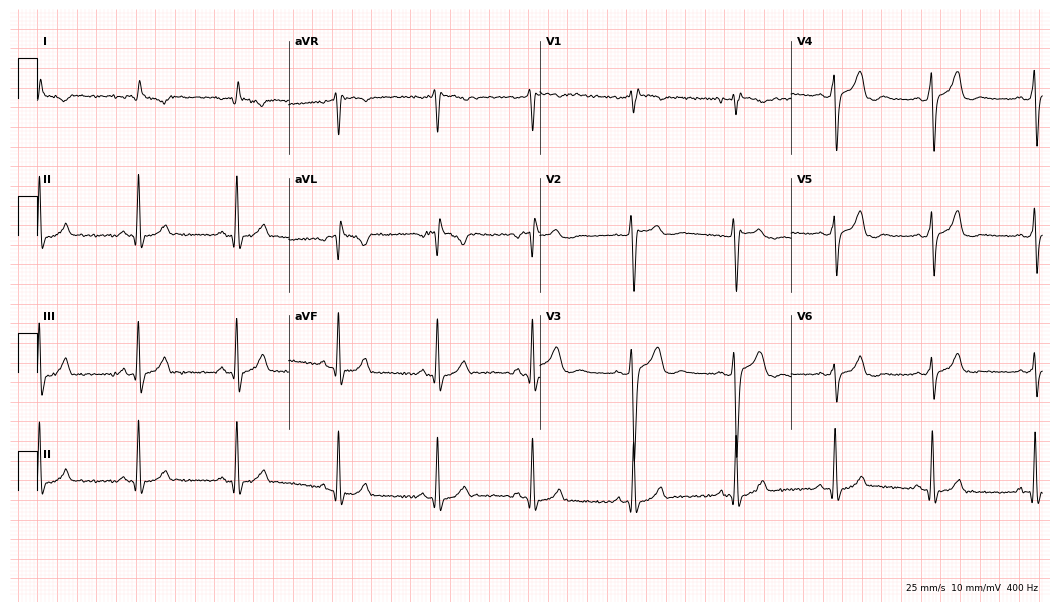
Resting 12-lead electrocardiogram (10.2-second recording at 400 Hz). Patient: a male, 19 years old. None of these six findings is recorded: first-degree AV block, right bundle branch block, left bundle branch block, sinus bradycardia, atrial fibrillation, sinus tachycardia. Other findings, if any, are not listed.